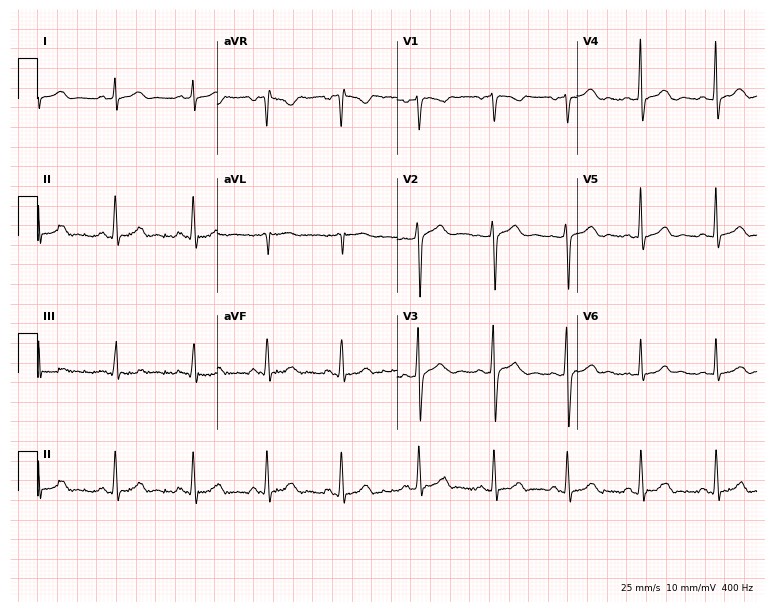
12-lead ECG from a male patient, 45 years old. Labelled as a normal ECG.